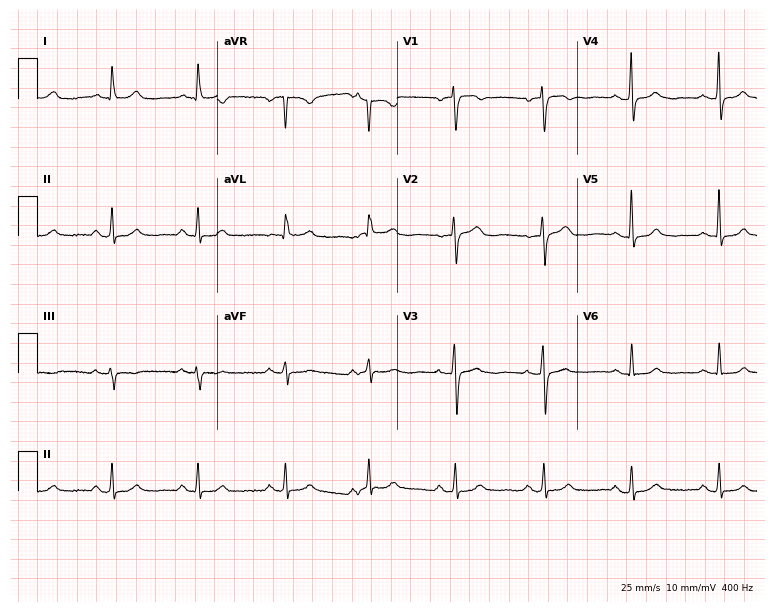
12-lead ECG from a female, 65 years old (7.3-second recording at 400 Hz). Recorded interpretation: within normal limits.